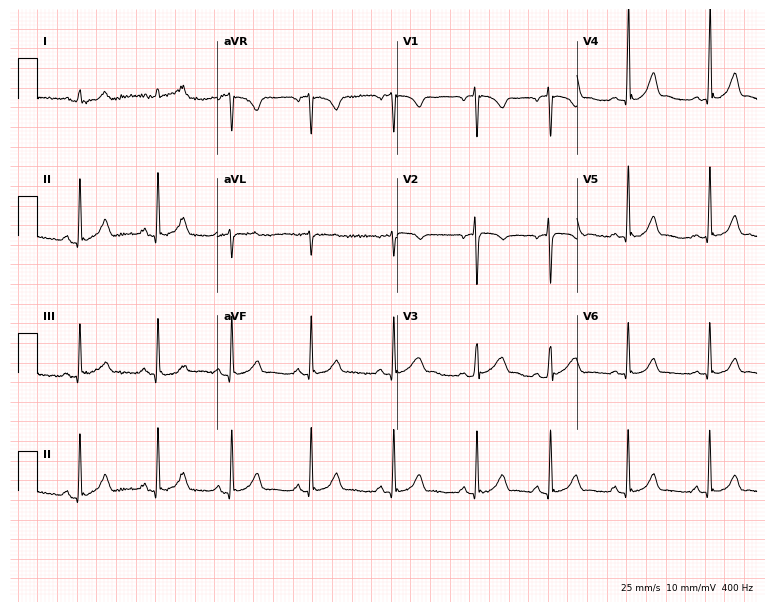
12-lead ECG (7.3-second recording at 400 Hz) from a female, 23 years old. Screened for six findings — first-degree AV block, right bundle branch block, left bundle branch block, sinus bradycardia, atrial fibrillation, sinus tachycardia — none is recorded. Only these six findings were labelled.